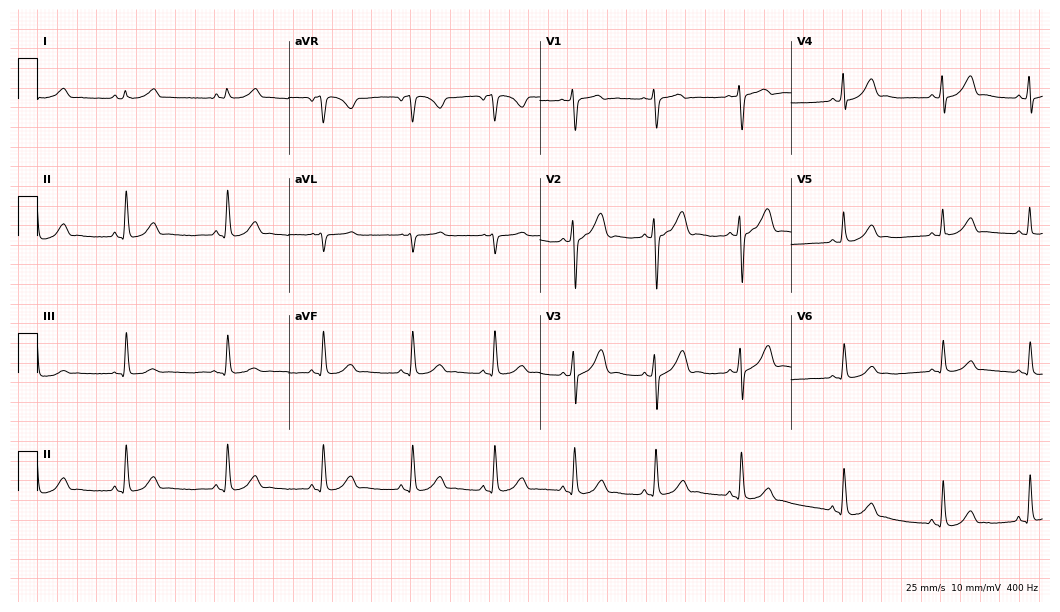
Resting 12-lead electrocardiogram. Patient: a 23-year-old female. Read as a normal ECG.